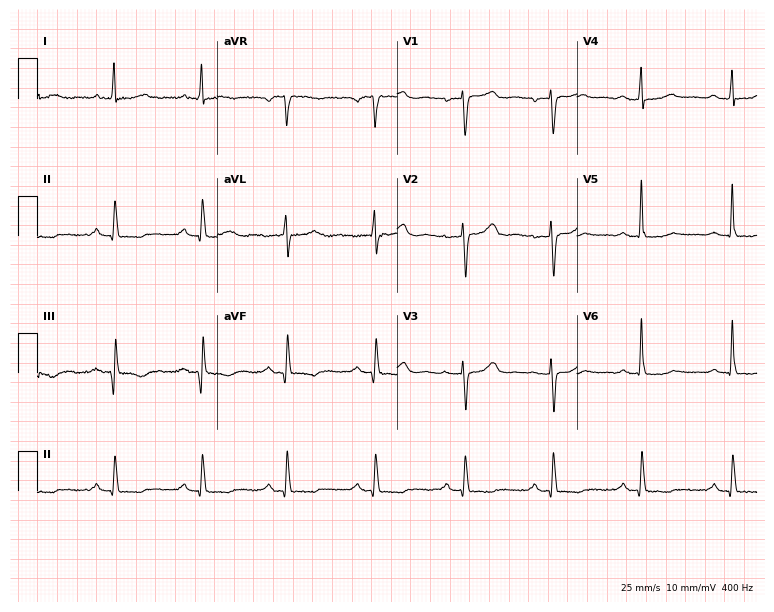
Resting 12-lead electrocardiogram (7.3-second recording at 400 Hz). Patient: a female, 51 years old. None of these six findings is recorded: first-degree AV block, right bundle branch block, left bundle branch block, sinus bradycardia, atrial fibrillation, sinus tachycardia.